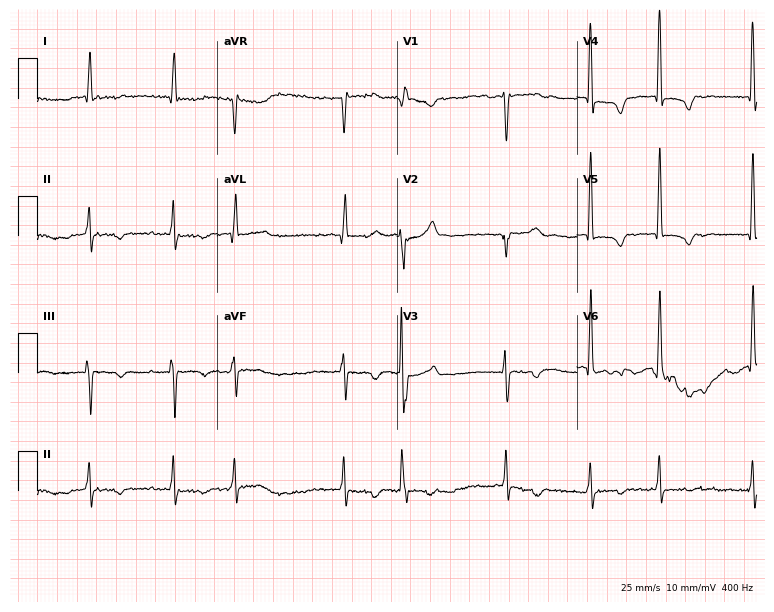
Standard 12-lead ECG recorded from a female patient, 70 years old. The tracing shows atrial fibrillation (AF).